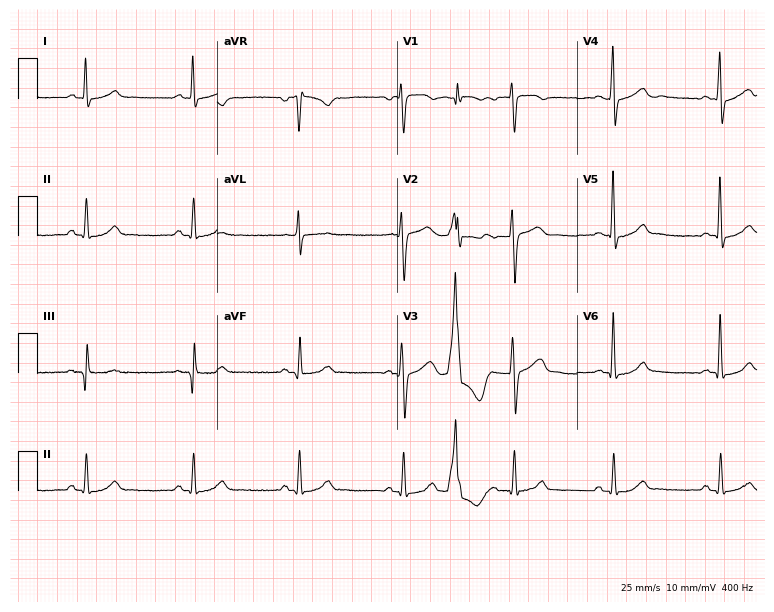
Resting 12-lead electrocardiogram. Patient: a man, 52 years old. None of these six findings is recorded: first-degree AV block, right bundle branch block (RBBB), left bundle branch block (LBBB), sinus bradycardia, atrial fibrillation (AF), sinus tachycardia.